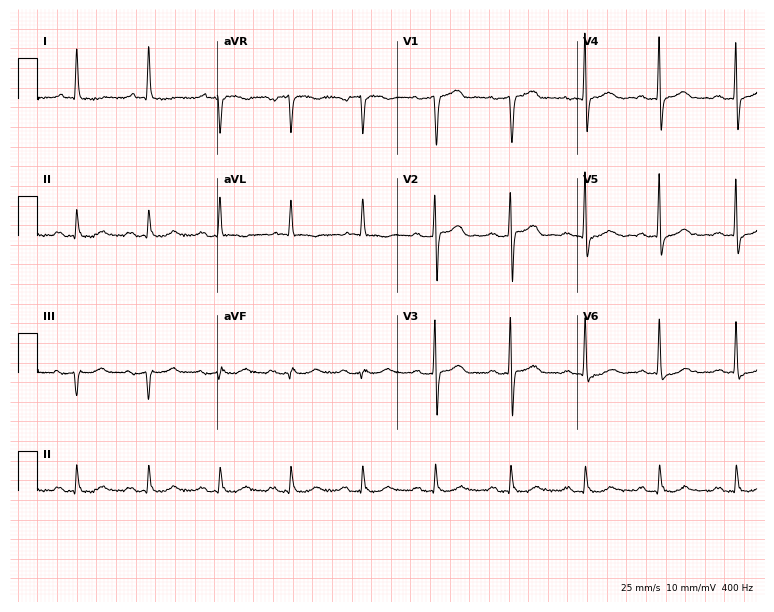
12-lead ECG (7.3-second recording at 400 Hz) from a male patient, 63 years old. Screened for six findings — first-degree AV block, right bundle branch block (RBBB), left bundle branch block (LBBB), sinus bradycardia, atrial fibrillation (AF), sinus tachycardia — none is recorded. Findings outside these six are not listed.